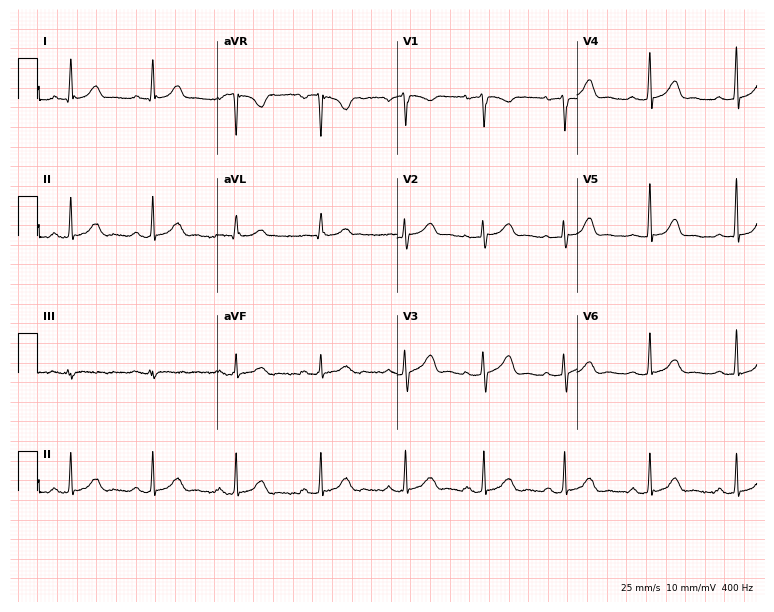
Electrocardiogram, a female patient, 31 years old. Overall reading on record: normal ECG.